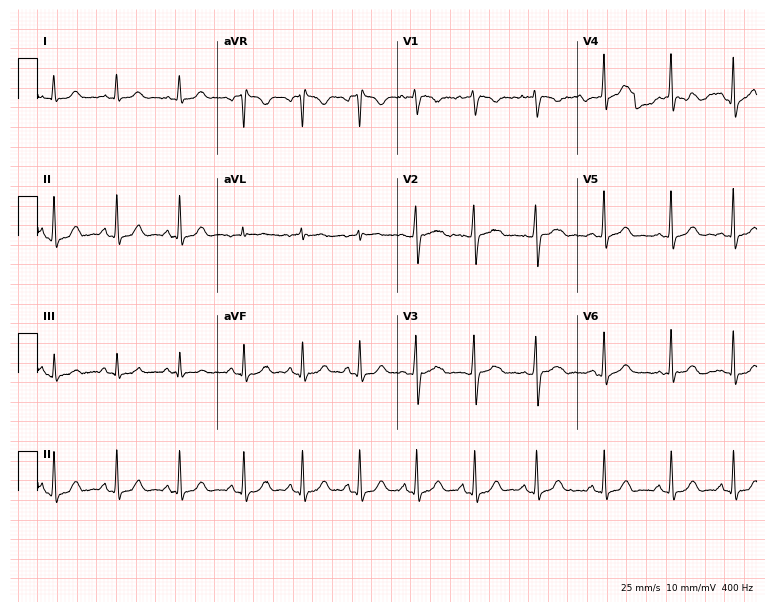
Resting 12-lead electrocardiogram. Patient: a female, 22 years old. Read as a normal ECG.